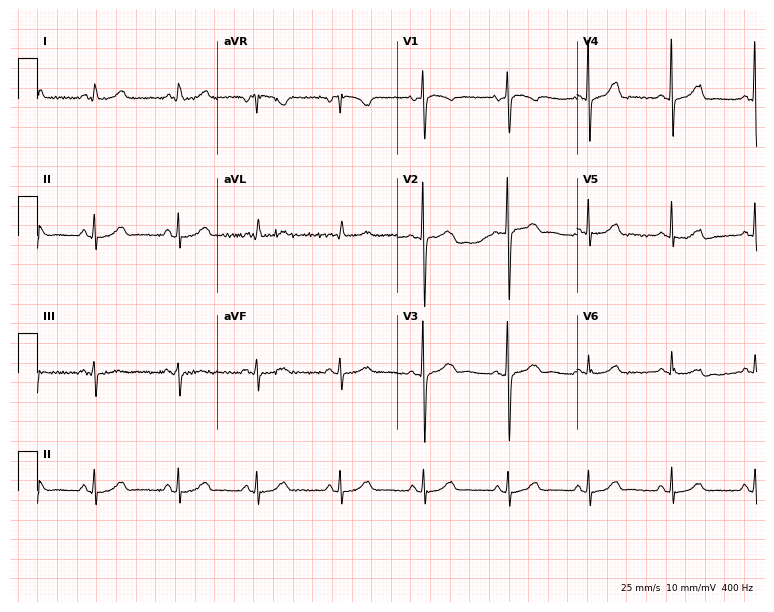
Standard 12-lead ECG recorded from an 83-year-old female patient (7.3-second recording at 400 Hz). Read as a normal ECG.